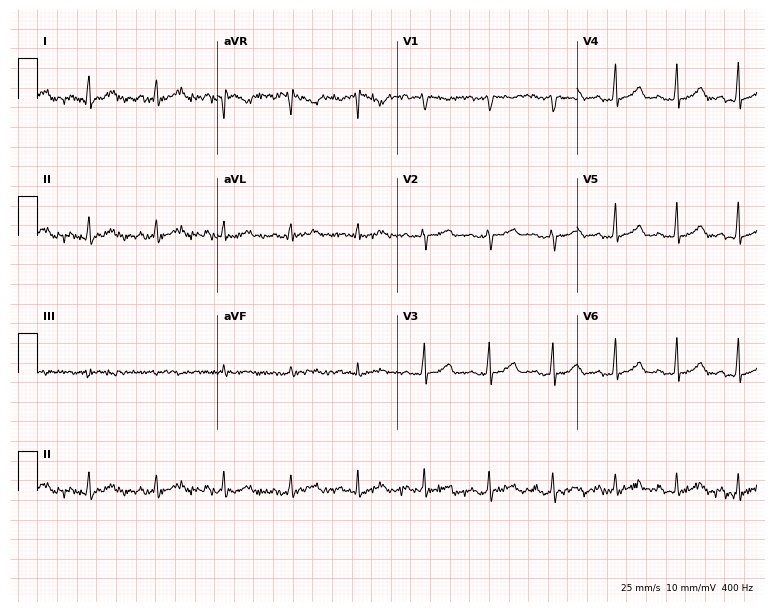
Standard 12-lead ECG recorded from a 29-year-old female. None of these six findings is recorded: first-degree AV block, right bundle branch block (RBBB), left bundle branch block (LBBB), sinus bradycardia, atrial fibrillation (AF), sinus tachycardia.